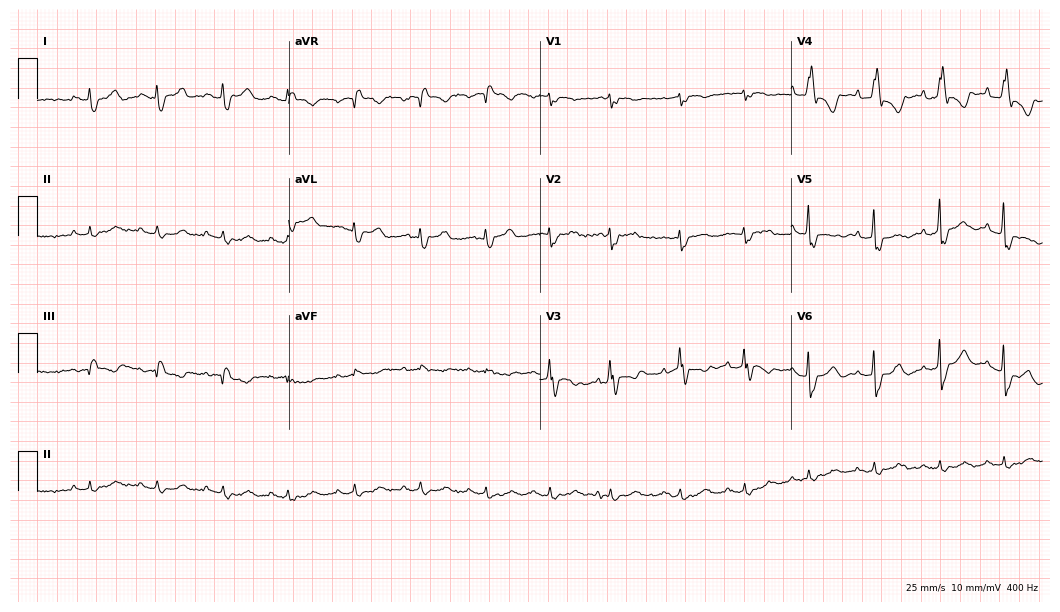
Resting 12-lead electrocardiogram. Patient: an 85-year-old man. None of these six findings is recorded: first-degree AV block, right bundle branch block, left bundle branch block, sinus bradycardia, atrial fibrillation, sinus tachycardia. Findings outside these six are not listed.